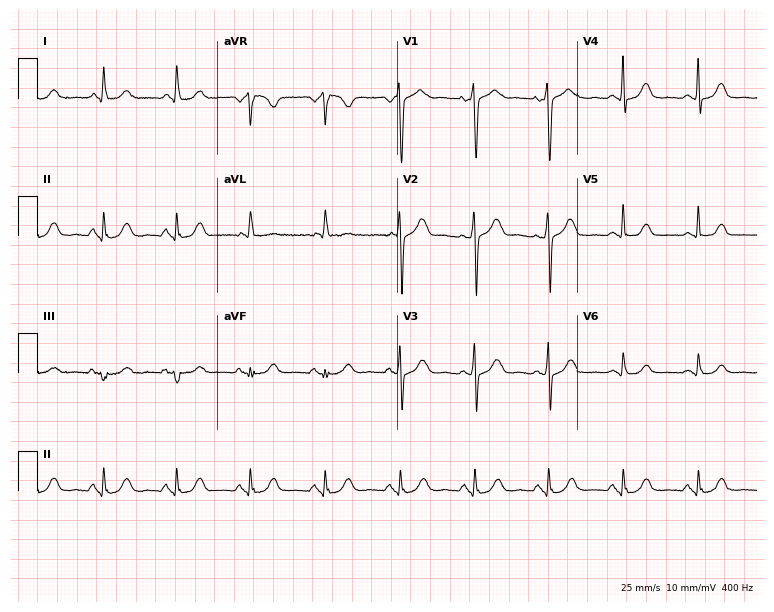
12-lead ECG from a woman, 77 years old. Recorded interpretation: within normal limits.